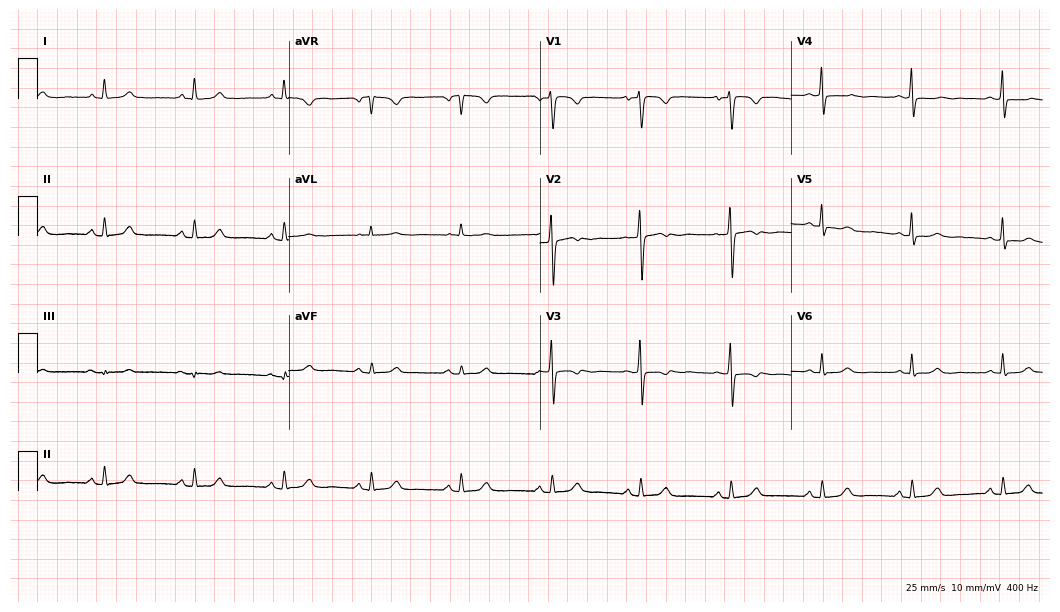
Electrocardiogram (10.2-second recording at 400 Hz), a 44-year-old male patient. Of the six screened findings (first-degree AV block, right bundle branch block (RBBB), left bundle branch block (LBBB), sinus bradycardia, atrial fibrillation (AF), sinus tachycardia), none is recorded. Findings outside these six are not listed.